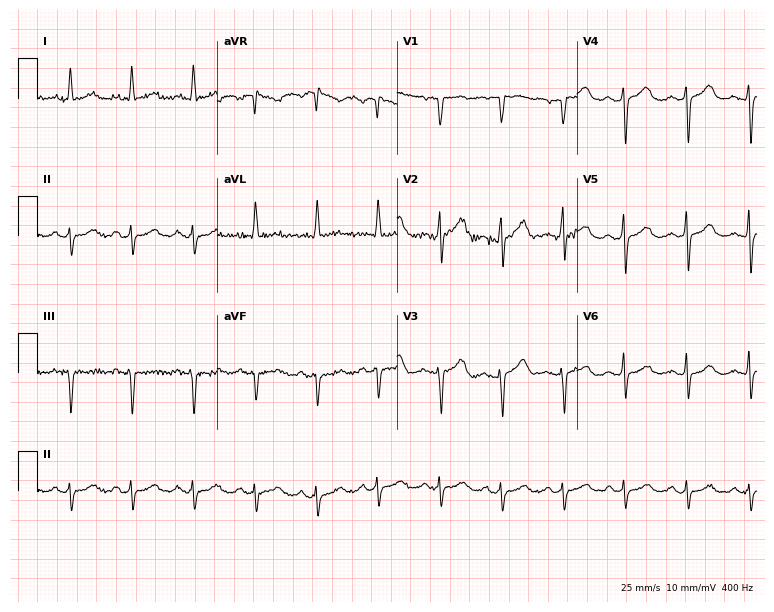
Standard 12-lead ECG recorded from a female patient, 75 years old. None of these six findings is recorded: first-degree AV block, right bundle branch block (RBBB), left bundle branch block (LBBB), sinus bradycardia, atrial fibrillation (AF), sinus tachycardia.